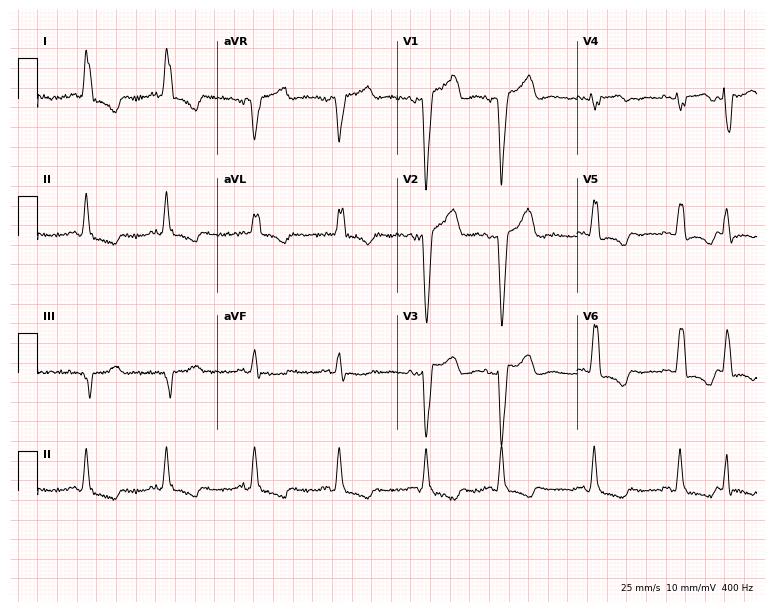
12-lead ECG (7.3-second recording at 400 Hz) from a 79-year-old female patient. Findings include left bundle branch block.